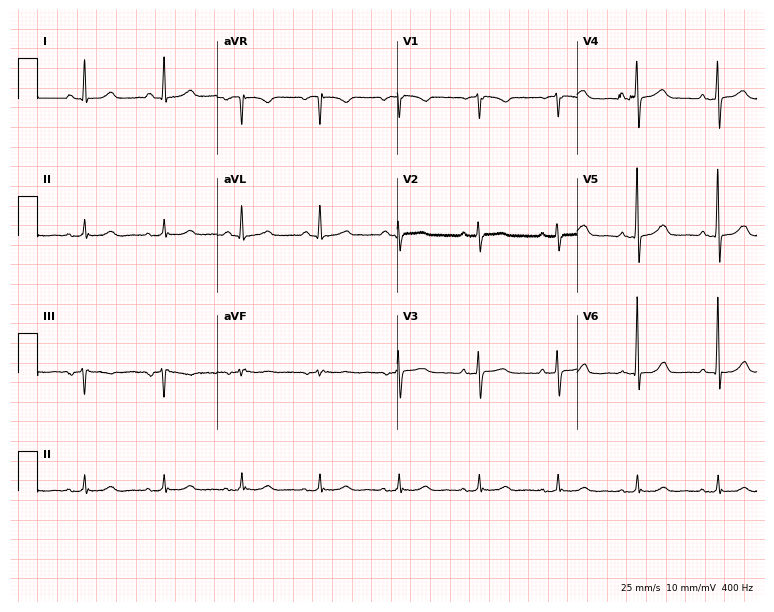
12-lead ECG from a female, 64 years old (7.3-second recording at 400 Hz). Recorded interpretation: within normal limits.